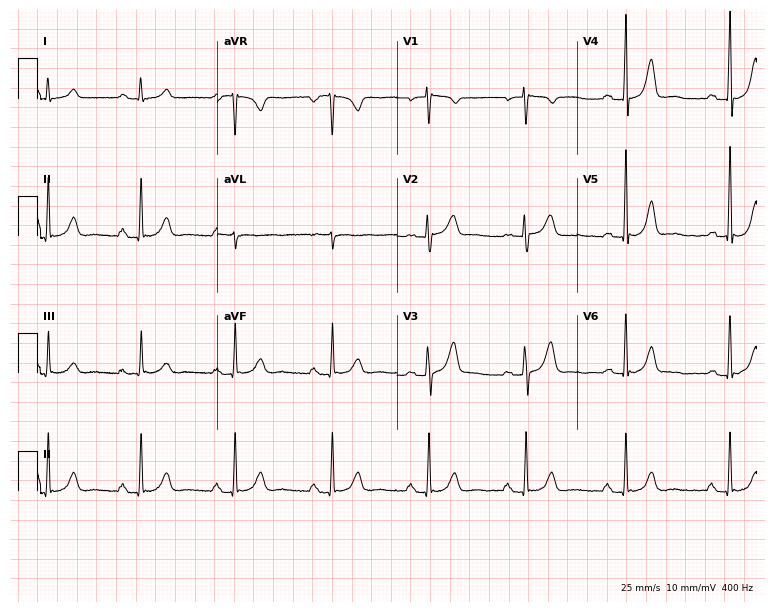
Standard 12-lead ECG recorded from a female patient, 30 years old. Read as a normal ECG.